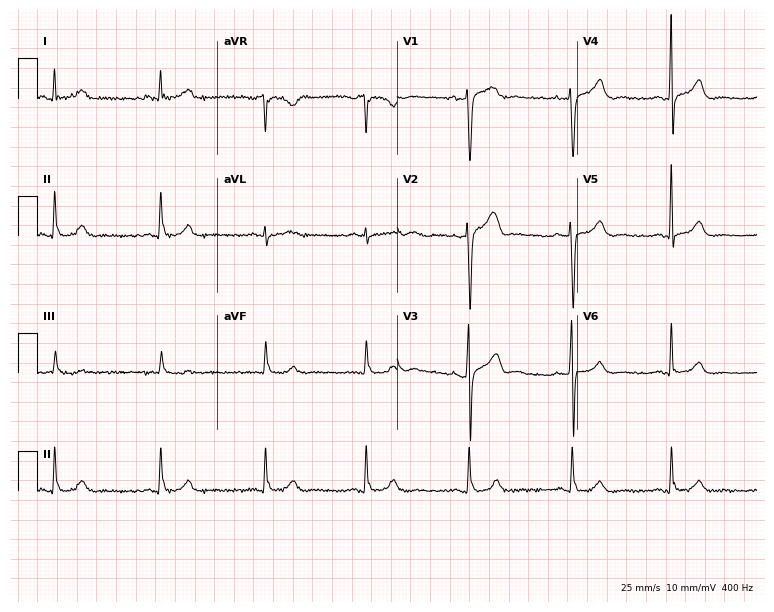
Standard 12-lead ECG recorded from a 49-year-old male (7.3-second recording at 400 Hz). Read as a normal ECG.